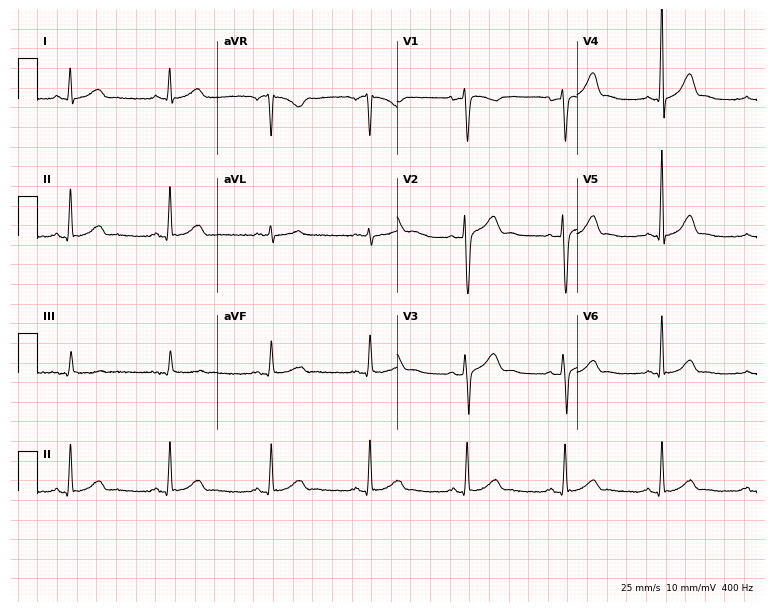
Standard 12-lead ECG recorded from a man, 43 years old. None of these six findings is recorded: first-degree AV block, right bundle branch block, left bundle branch block, sinus bradycardia, atrial fibrillation, sinus tachycardia. Other findings, if any, are not listed.